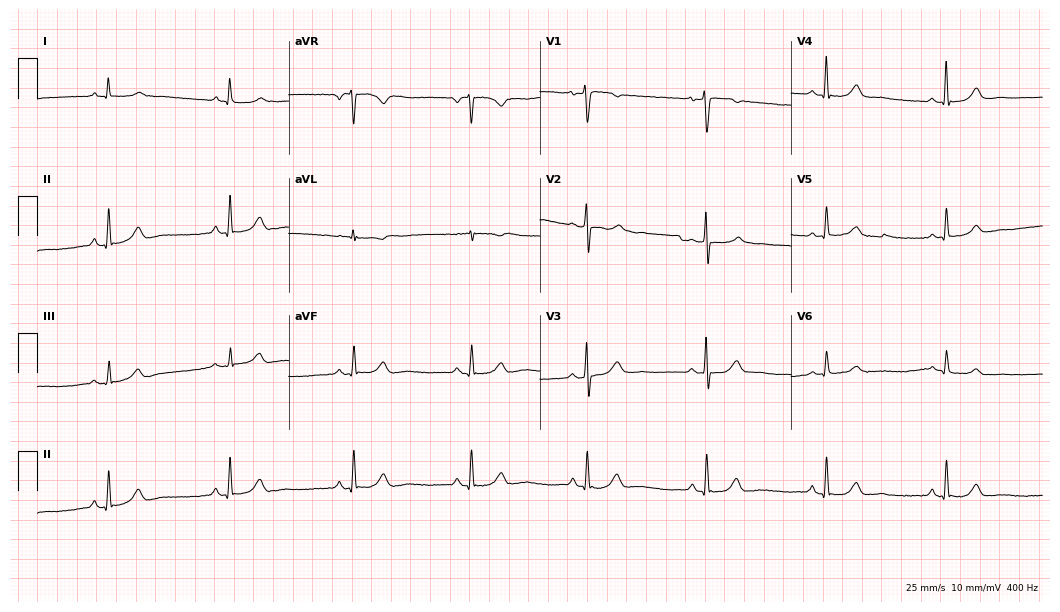
Standard 12-lead ECG recorded from a female patient, 61 years old. The tracing shows sinus bradycardia (a sinus rate of 50 beats per minute or less).